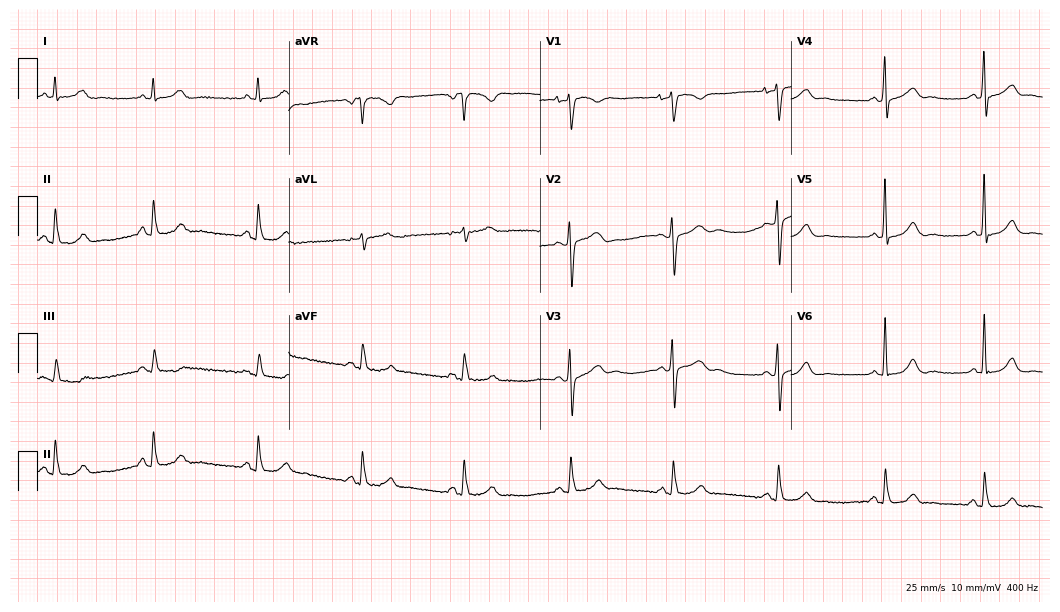
Electrocardiogram (10.2-second recording at 400 Hz), a 40-year-old woman. Overall reading on record: normal ECG.